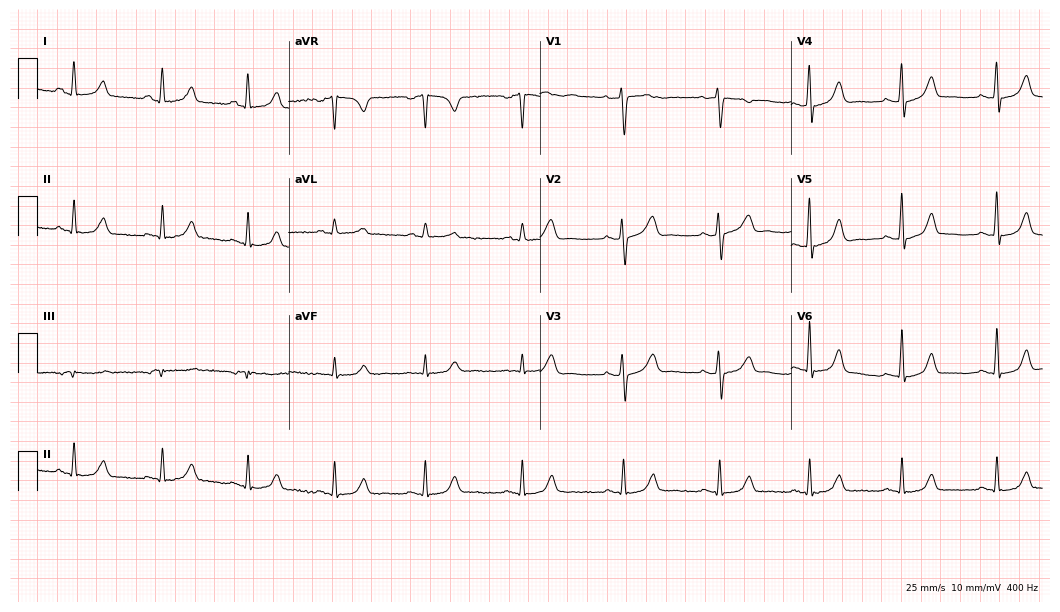
ECG (10.2-second recording at 400 Hz) — a female, 32 years old. Labelled as a normal ECG.